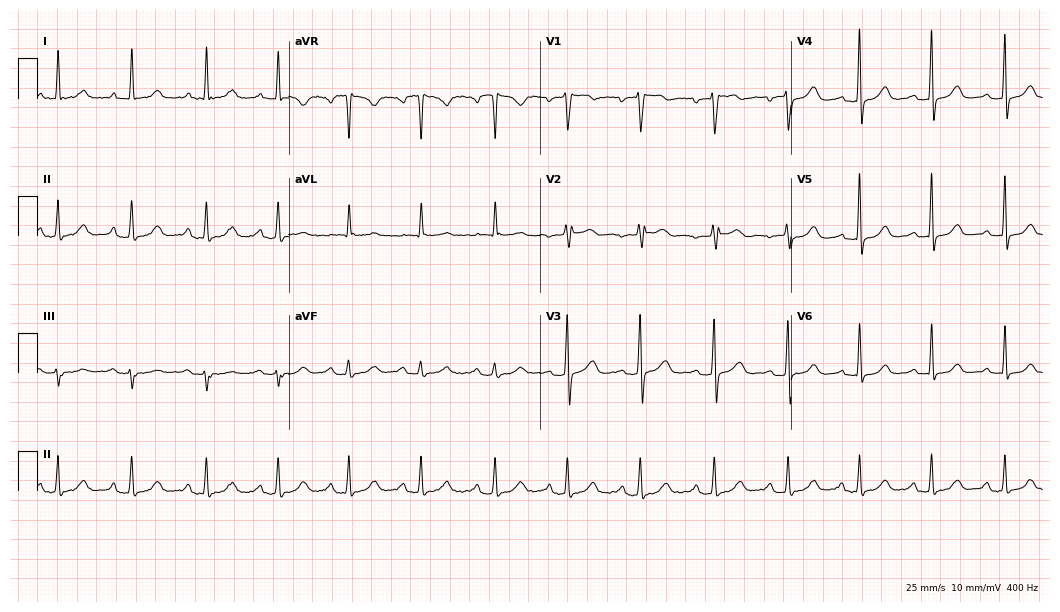
12-lead ECG (10.2-second recording at 400 Hz) from a 36-year-old woman. Labelled as a normal ECG.